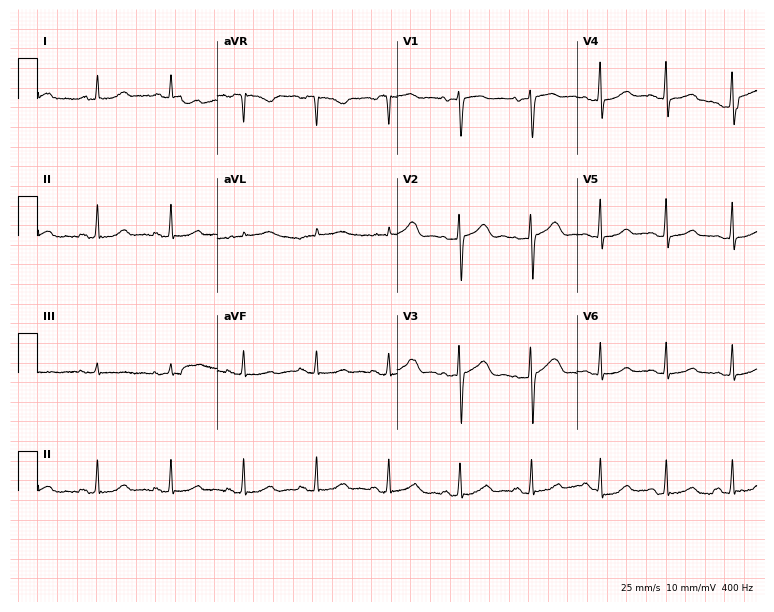
Electrocardiogram, a female patient, 47 years old. Overall reading on record: normal ECG.